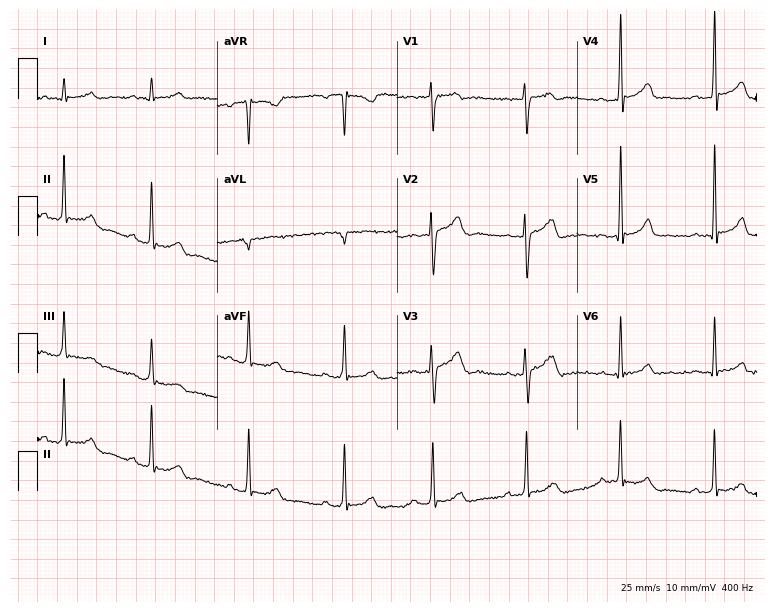
Electrocardiogram (7.3-second recording at 400 Hz), a 25-year-old man. Of the six screened findings (first-degree AV block, right bundle branch block, left bundle branch block, sinus bradycardia, atrial fibrillation, sinus tachycardia), none is recorded.